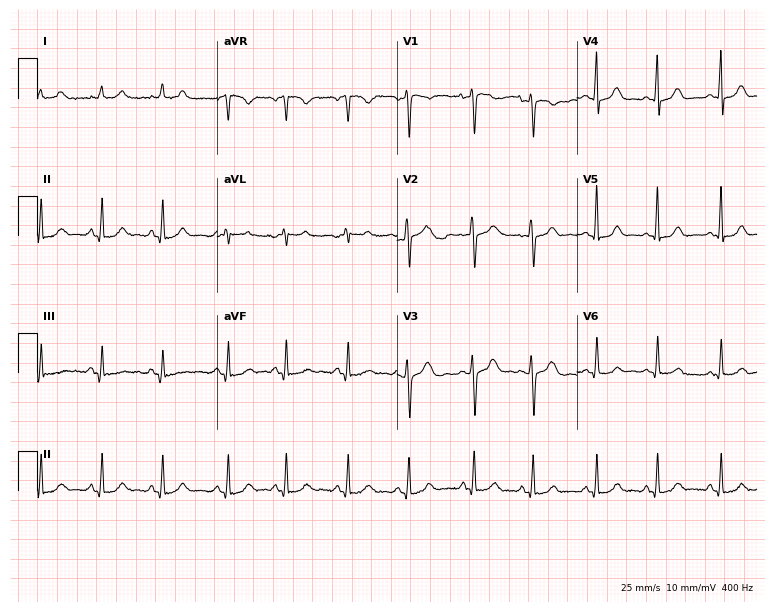
Electrocardiogram (7.3-second recording at 400 Hz), a 22-year-old male patient. Of the six screened findings (first-degree AV block, right bundle branch block, left bundle branch block, sinus bradycardia, atrial fibrillation, sinus tachycardia), none is recorded.